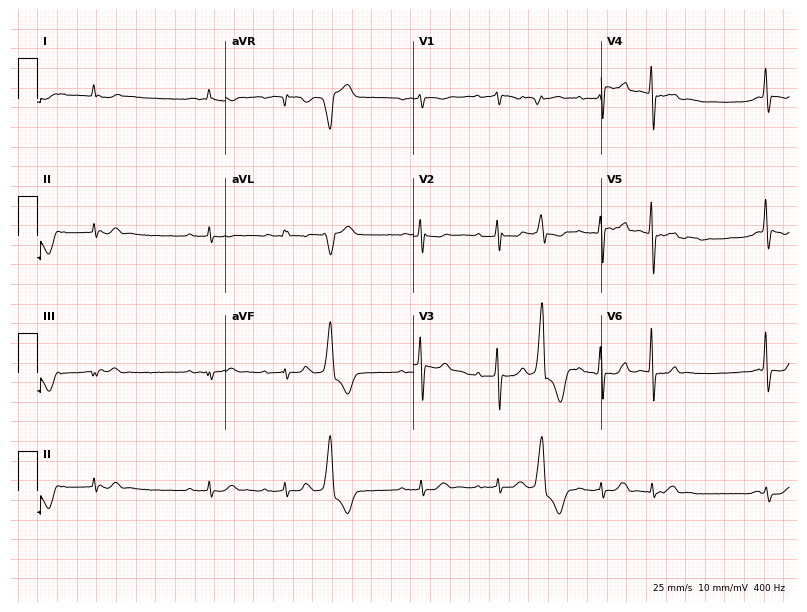
Electrocardiogram (7.7-second recording at 400 Hz), a male, 79 years old. Interpretation includes first-degree AV block.